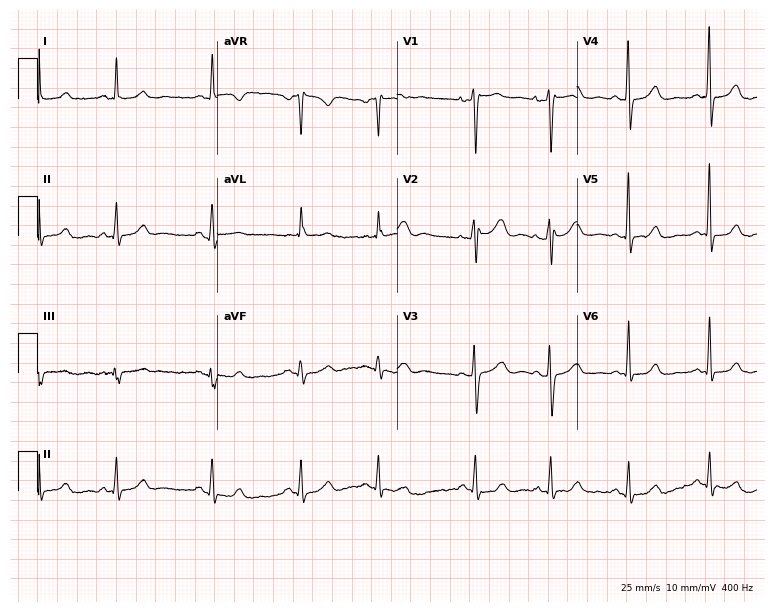
ECG — a female, 49 years old. Labelled as a normal ECG.